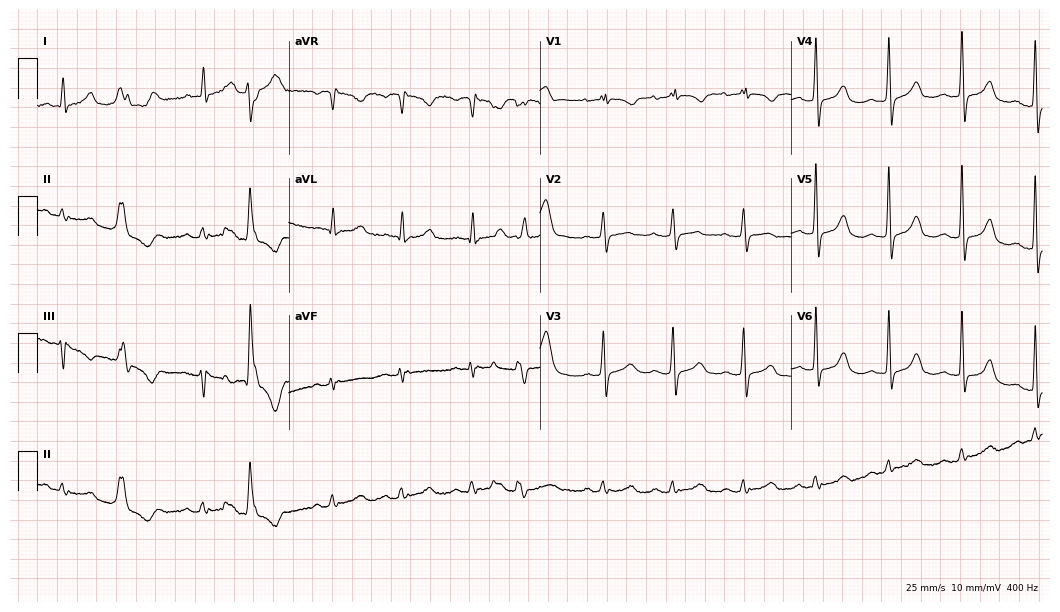
ECG (10.2-second recording at 400 Hz) — a woman, 58 years old. Screened for six findings — first-degree AV block, right bundle branch block, left bundle branch block, sinus bradycardia, atrial fibrillation, sinus tachycardia — none is recorded.